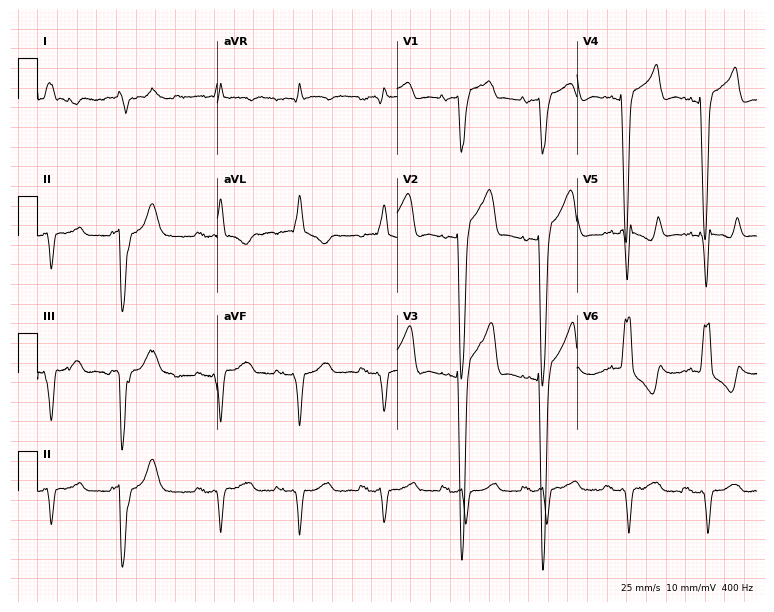
12-lead ECG from an 84-year-old male. Findings include left bundle branch block.